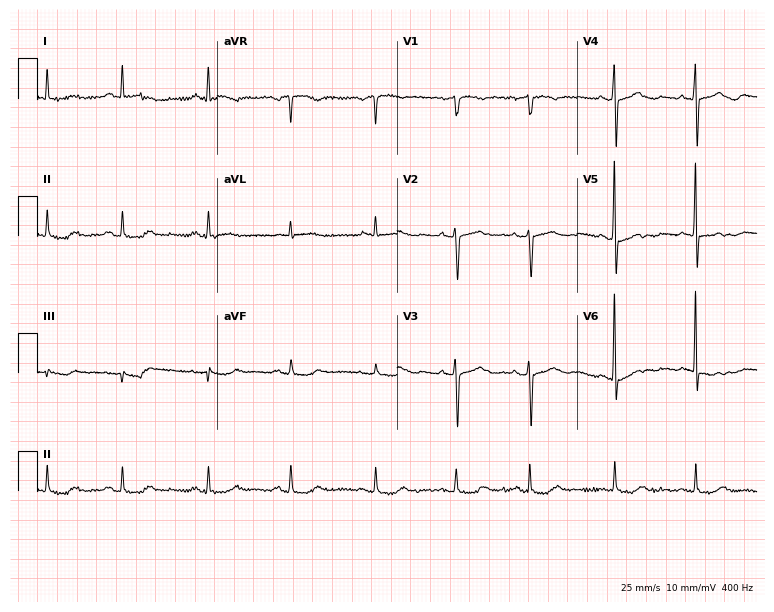
Electrocardiogram, a 72-year-old woman. Overall reading on record: normal ECG.